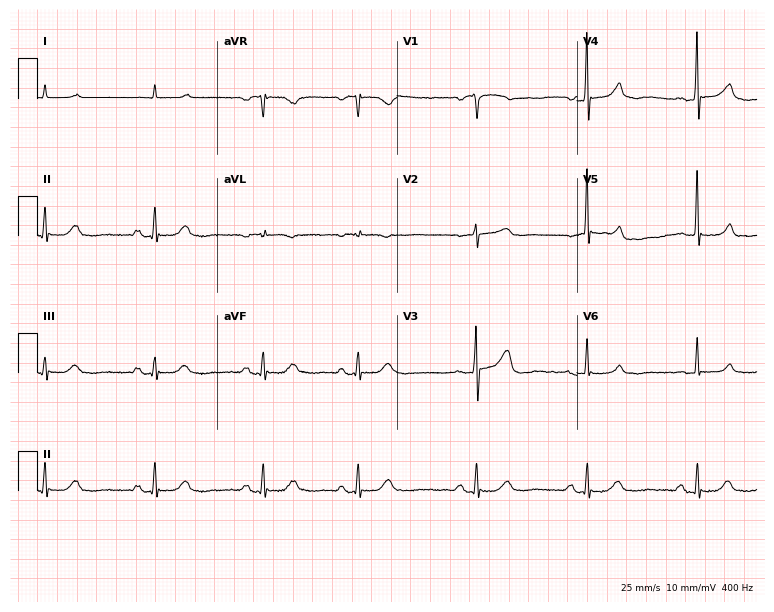
Electrocardiogram (7.3-second recording at 400 Hz), a male, 80 years old. Of the six screened findings (first-degree AV block, right bundle branch block, left bundle branch block, sinus bradycardia, atrial fibrillation, sinus tachycardia), none is recorded. Findings outside these six are not listed.